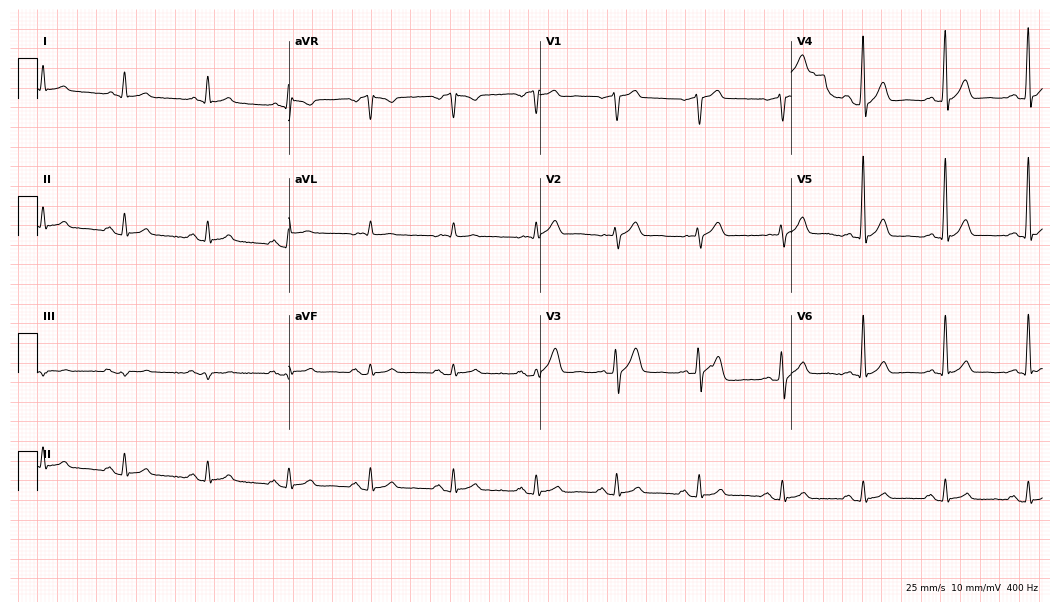
12-lead ECG from a man, 61 years old. Labelled as a normal ECG.